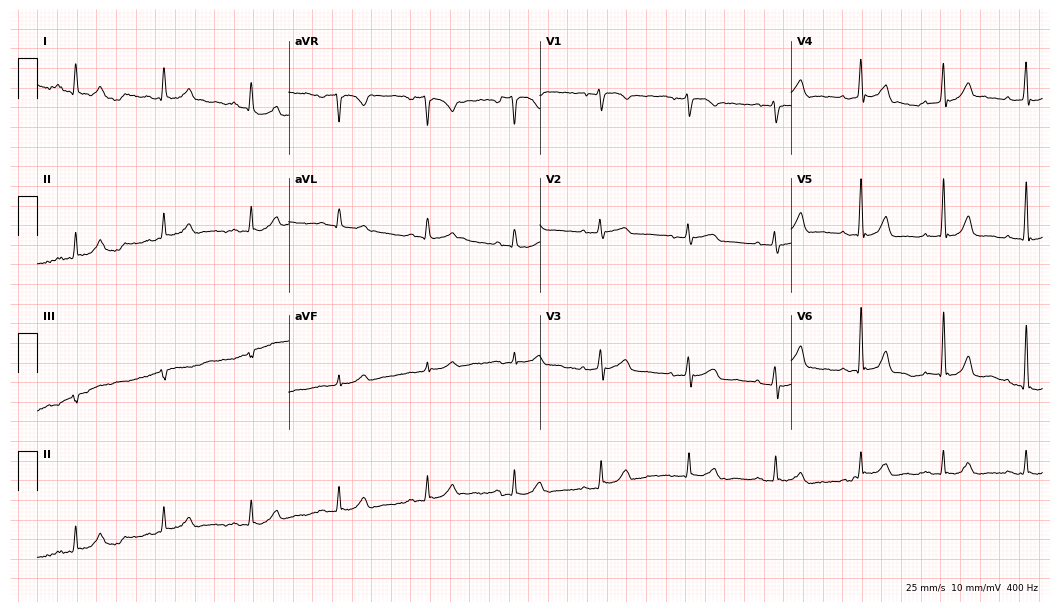
Standard 12-lead ECG recorded from a 76-year-old man (10.2-second recording at 400 Hz). Read as a normal ECG.